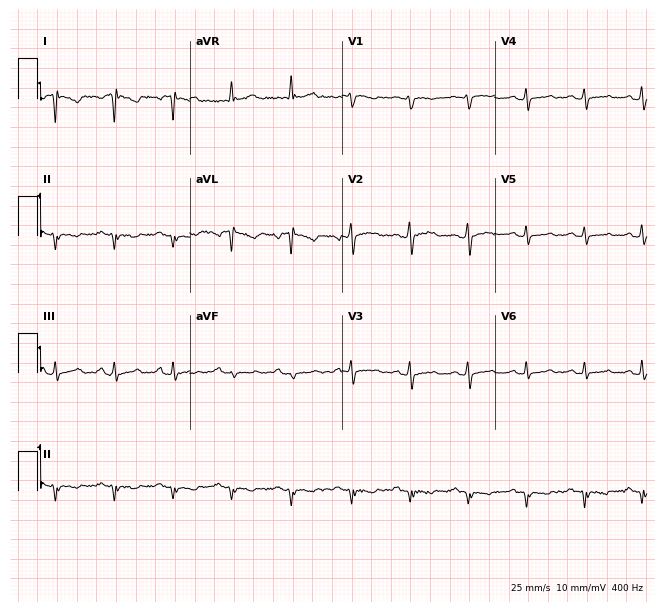
Electrocardiogram (6.2-second recording at 400 Hz), a 38-year-old male patient. Of the six screened findings (first-degree AV block, right bundle branch block (RBBB), left bundle branch block (LBBB), sinus bradycardia, atrial fibrillation (AF), sinus tachycardia), none is recorded.